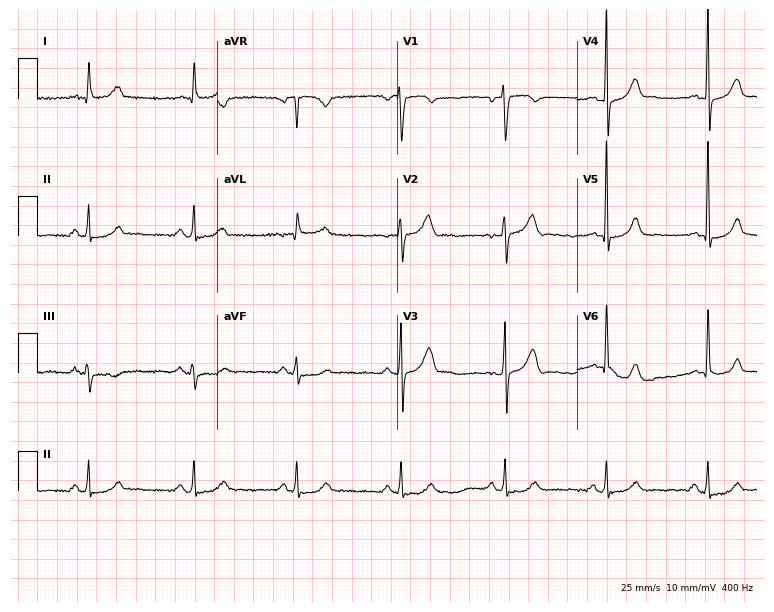
12-lead ECG (7.3-second recording at 400 Hz) from a male, 54 years old. Screened for six findings — first-degree AV block, right bundle branch block, left bundle branch block, sinus bradycardia, atrial fibrillation, sinus tachycardia — none is recorded.